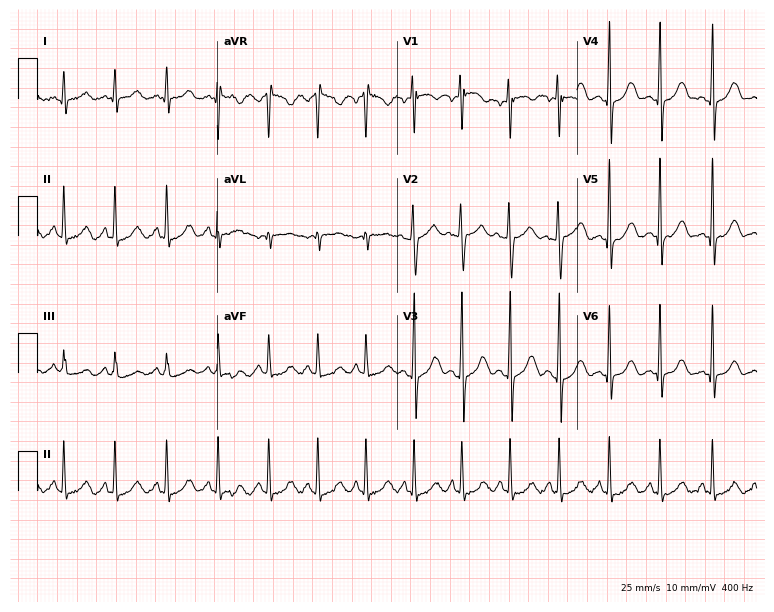
Electrocardiogram (7.3-second recording at 400 Hz), a 25-year-old woman. Interpretation includes sinus tachycardia (a sinus rate of 100 beats per minute or more).